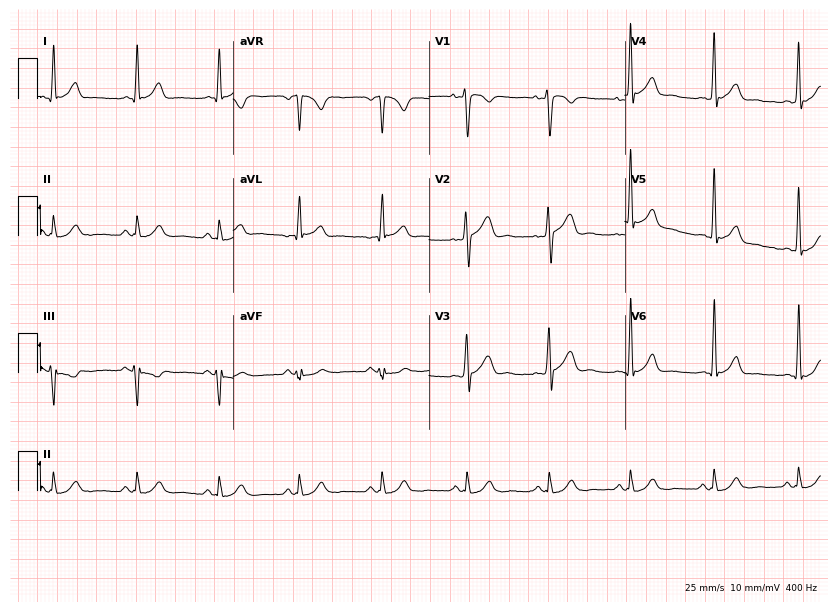
Resting 12-lead electrocardiogram. Patient: a 33-year-old male. Read as a normal ECG.